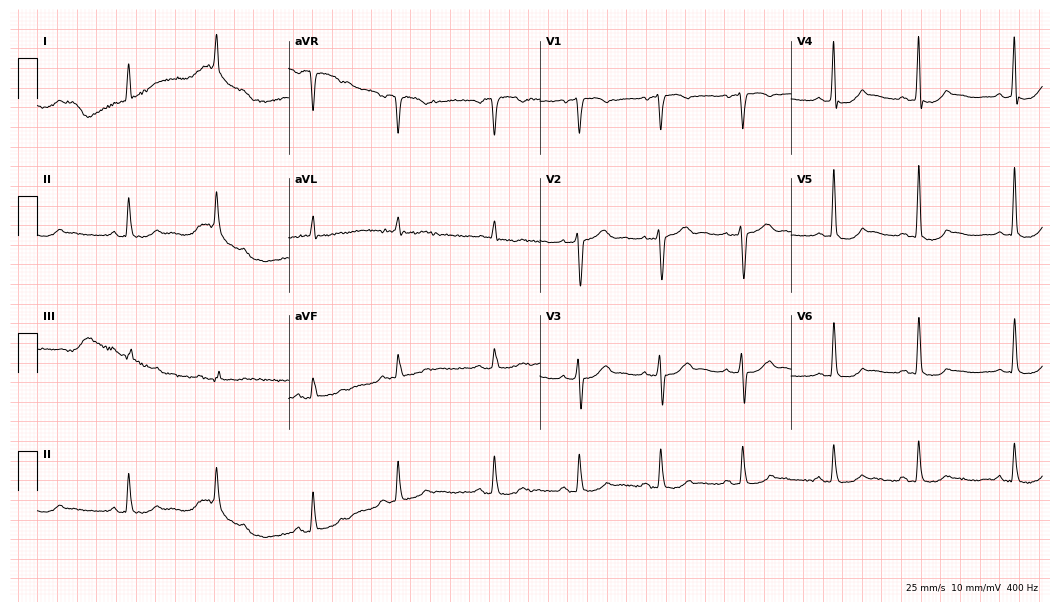
Standard 12-lead ECG recorded from a male, 64 years old. Read as a normal ECG.